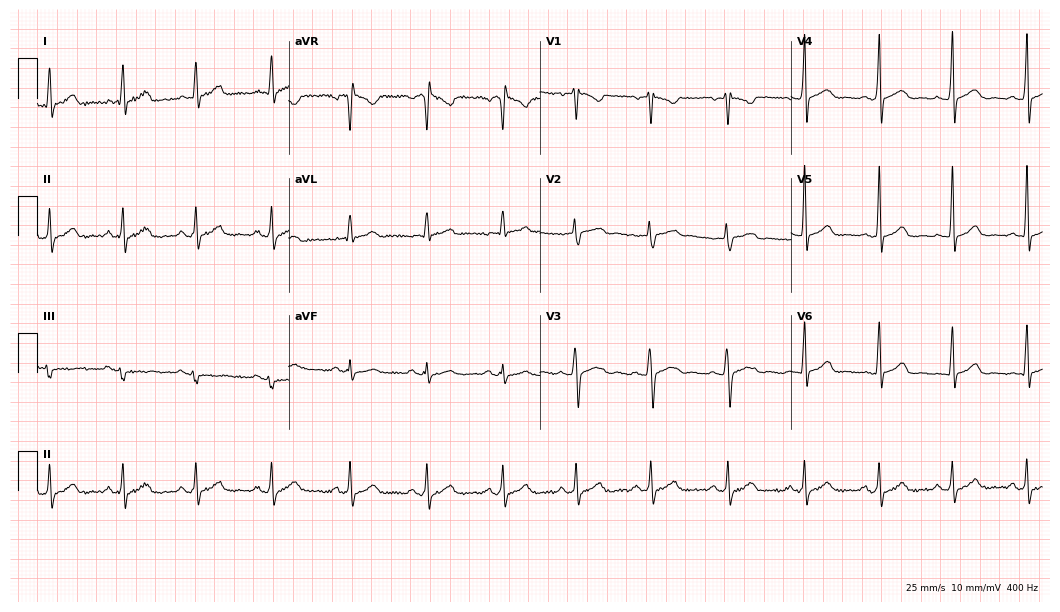
12-lead ECG from a female, 27 years old (10.2-second recording at 400 Hz). Recorded interpretation: within normal limits.